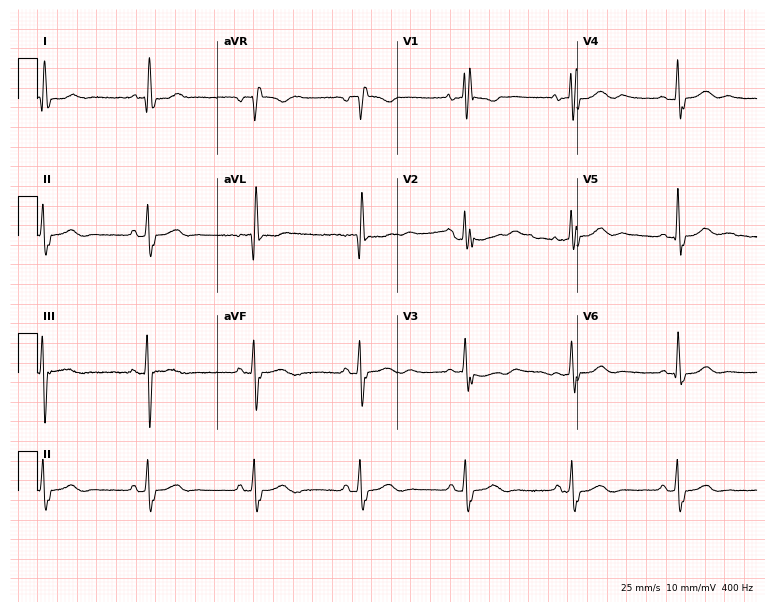
Electrocardiogram (7.3-second recording at 400 Hz), a woman, 69 years old. Interpretation includes right bundle branch block.